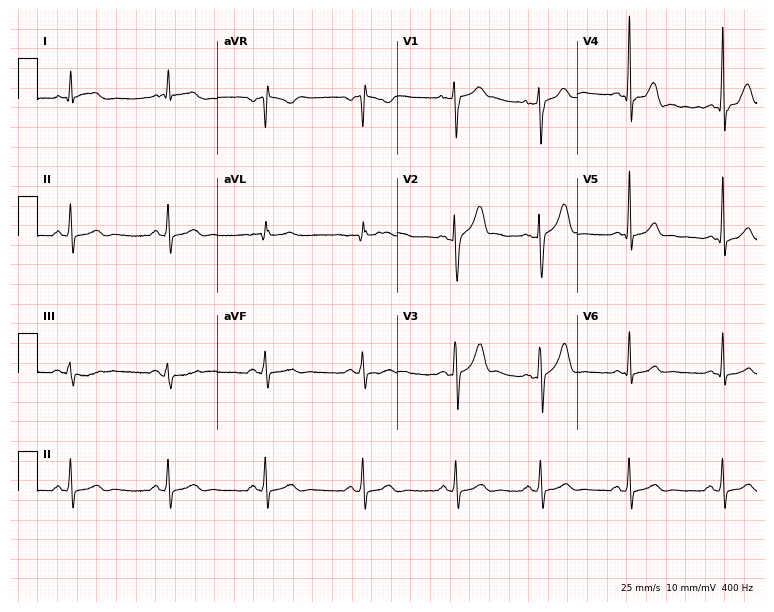
Resting 12-lead electrocardiogram. Patient: a man, 33 years old. Read as a normal ECG.